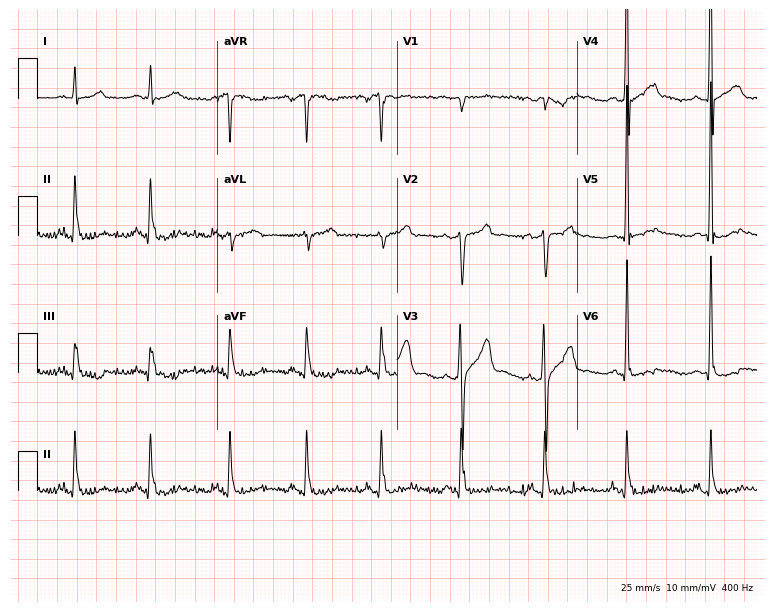
Resting 12-lead electrocardiogram. Patient: a 42-year-old man. None of these six findings is recorded: first-degree AV block, right bundle branch block, left bundle branch block, sinus bradycardia, atrial fibrillation, sinus tachycardia. Other findings, if any, are not listed.